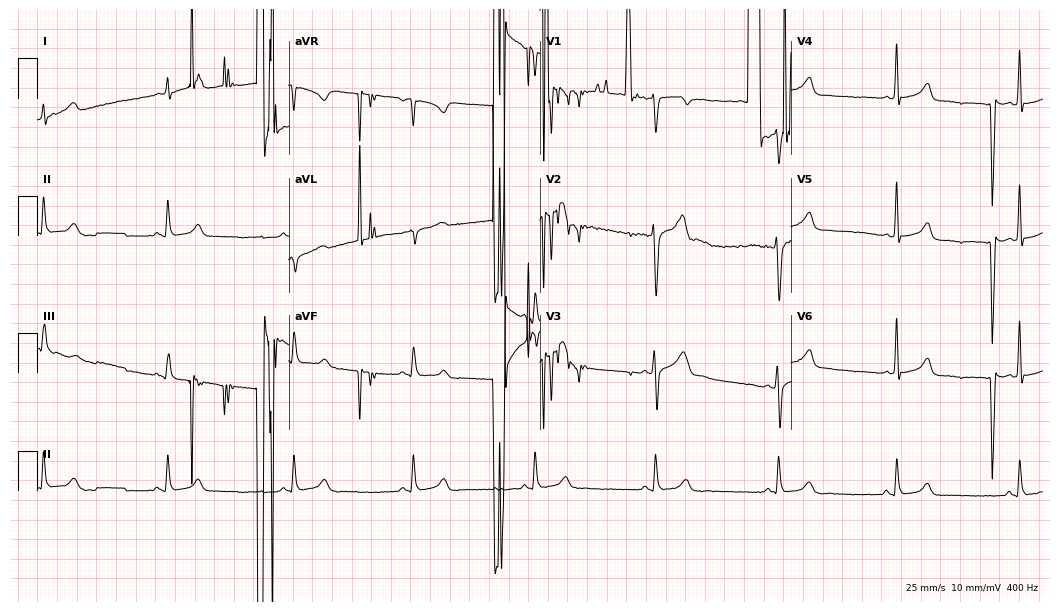
Electrocardiogram, a male patient, 31 years old. Of the six screened findings (first-degree AV block, right bundle branch block (RBBB), left bundle branch block (LBBB), sinus bradycardia, atrial fibrillation (AF), sinus tachycardia), none is recorded.